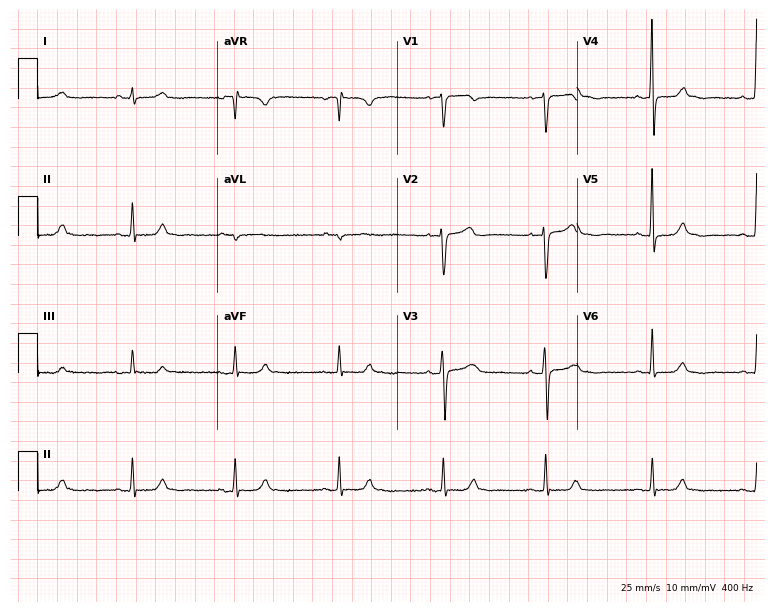
Standard 12-lead ECG recorded from a female patient, 58 years old. None of these six findings is recorded: first-degree AV block, right bundle branch block (RBBB), left bundle branch block (LBBB), sinus bradycardia, atrial fibrillation (AF), sinus tachycardia.